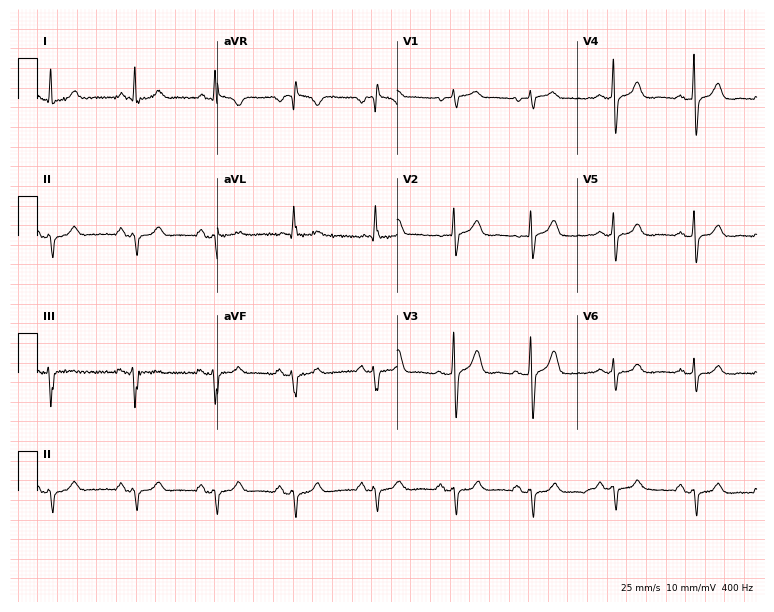
ECG (7.3-second recording at 400 Hz) — a 57-year-old female. Screened for six findings — first-degree AV block, right bundle branch block (RBBB), left bundle branch block (LBBB), sinus bradycardia, atrial fibrillation (AF), sinus tachycardia — none is recorded.